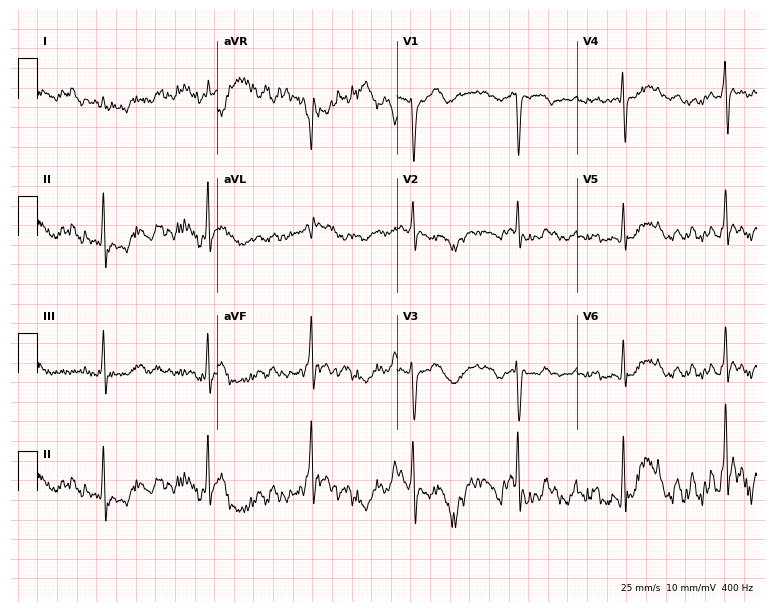
12-lead ECG (7.3-second recording at 400 Hz) from a 79-year-old female patient. Screened for six findings — first-degree AV block, right bundle branch block (RBBB), left bundle branch block (LBBB), sinus bradycardia, atrial fibrillation (AF), sinus tachycardia — none is recorded. Only these six findings were labelled.